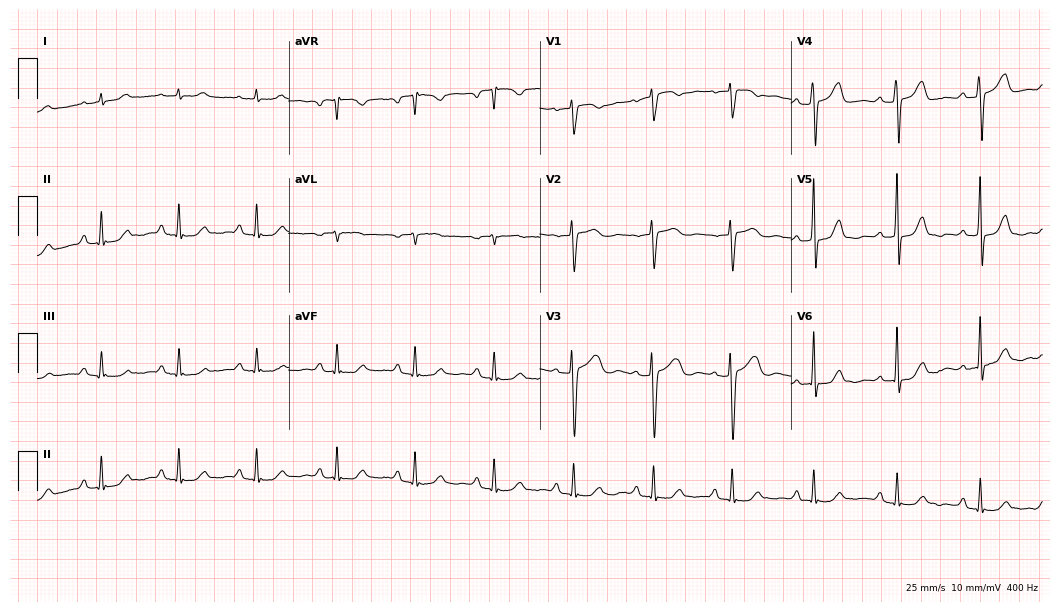
Electrocardiogram (10.2-second recording at 400 Hz), a 63-year-old female patient. Overall reading on record: normal ECG.